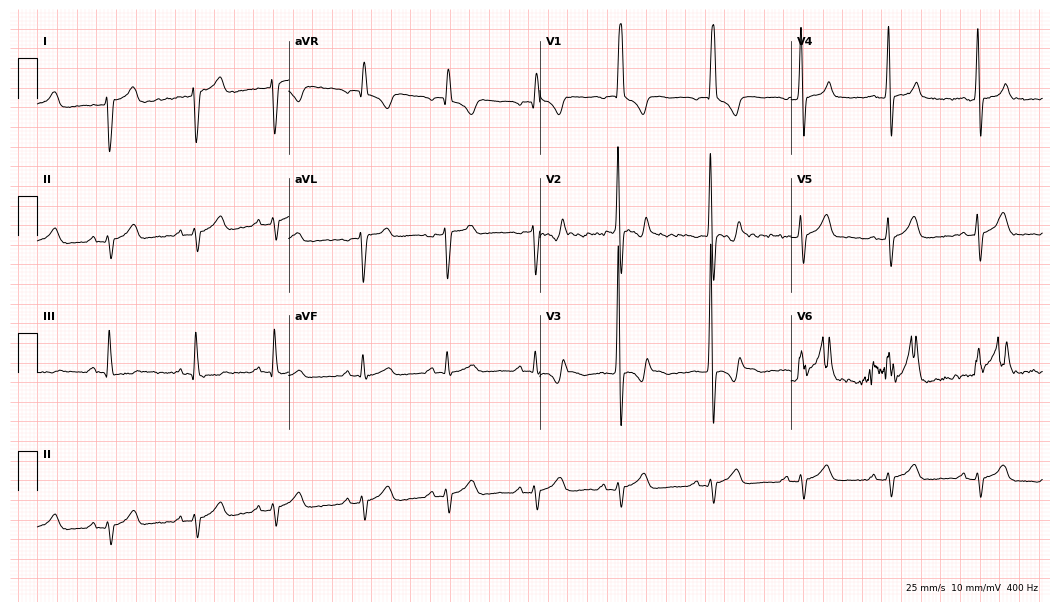
Standard 12-lead ECG recorded from a male, 30 years old. None of these six findings is recorded: first-degree AV block, right bundle branch block (RBBB), left bundle branch block (LBBB), sinus bradycardia, atrial fibrillation (AF), sinus tachycardia.